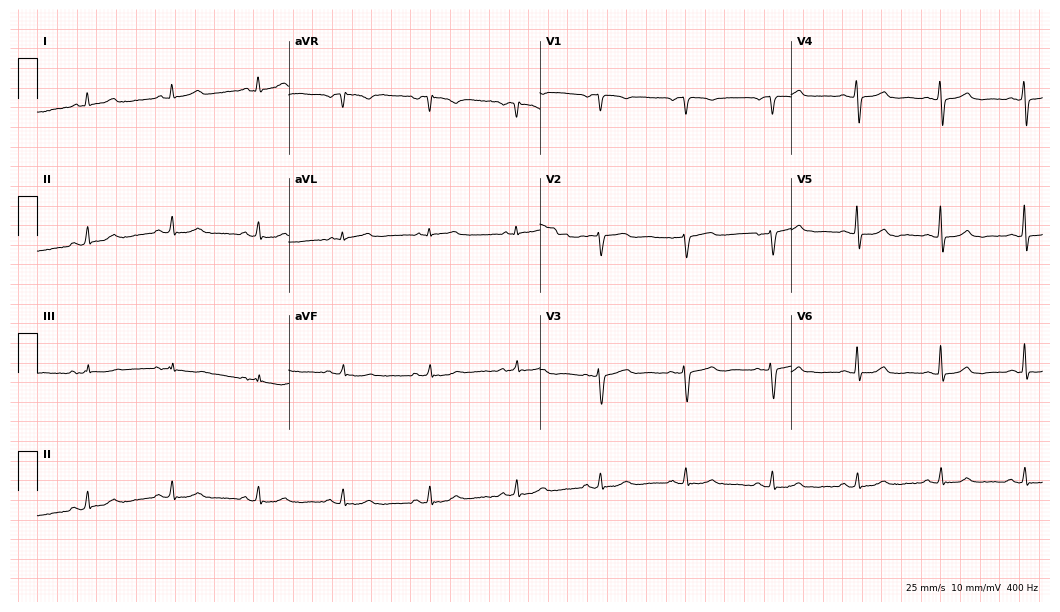
12-lead ECG from a 56-year-old female patient. Recorded interpretation: within normal limits.